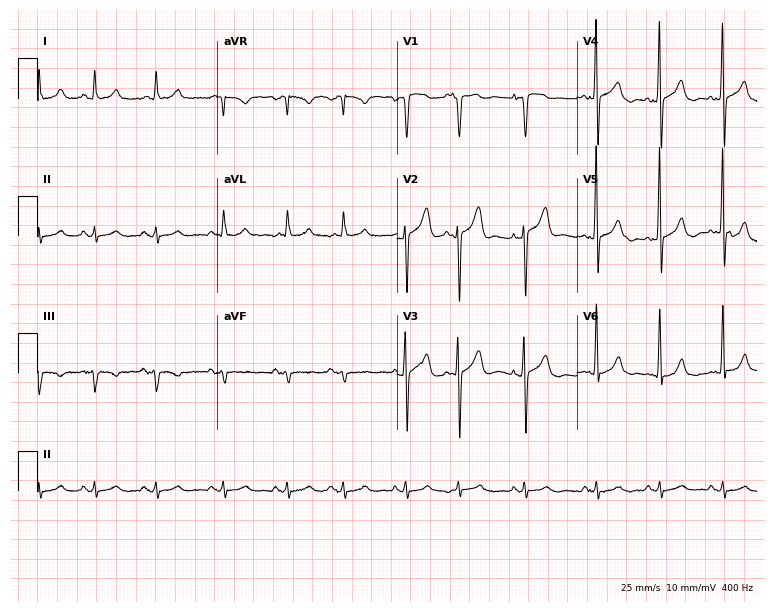
Standard 12-lead ECG recorded from a male patient, 77 years old. None of these six findings is recorded: first-degree AV block, right bundle branch block (RBBB), left bundle branch block (LBBB), sinus bradycardia, atrial fibrillation (AF), sinus tachycardia. Only these six findings were labelled.